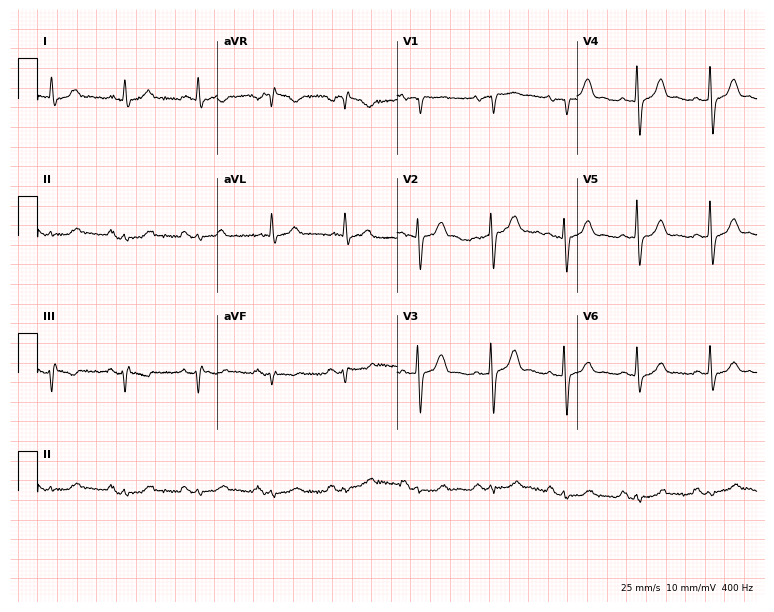
Electrocardiogram (7.3-second recording at 400 Hz), a female patient, 62 years old. Of the six screened findings (first-degree AV block, right bundle branch block (RBBB), left bundle branch block (LBBB), sinus bradycardia, atrial fibrillation (AF), sinus tachycardia), none is recorded.